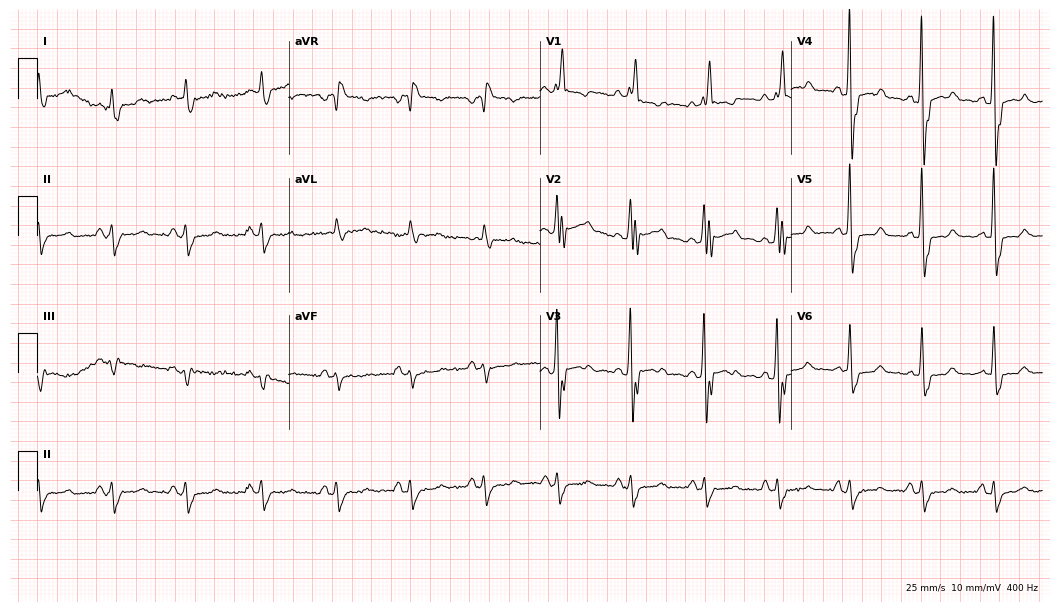
ECG — a 78-year-old male. Findings include right bundle branch block.